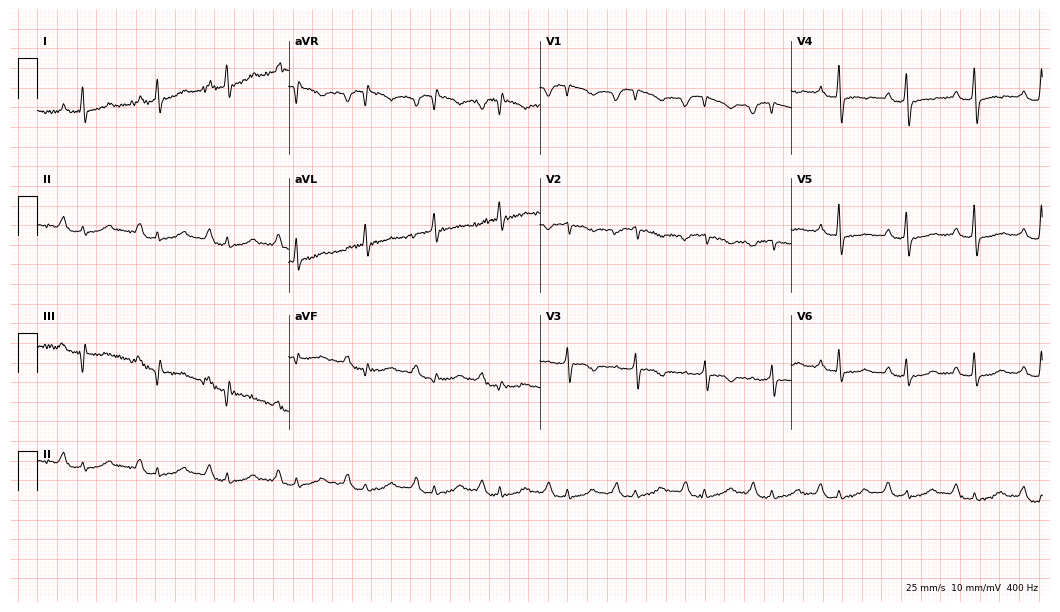
12-lead ECG from a female patient, 67 years old. Shows first-degree AV block.